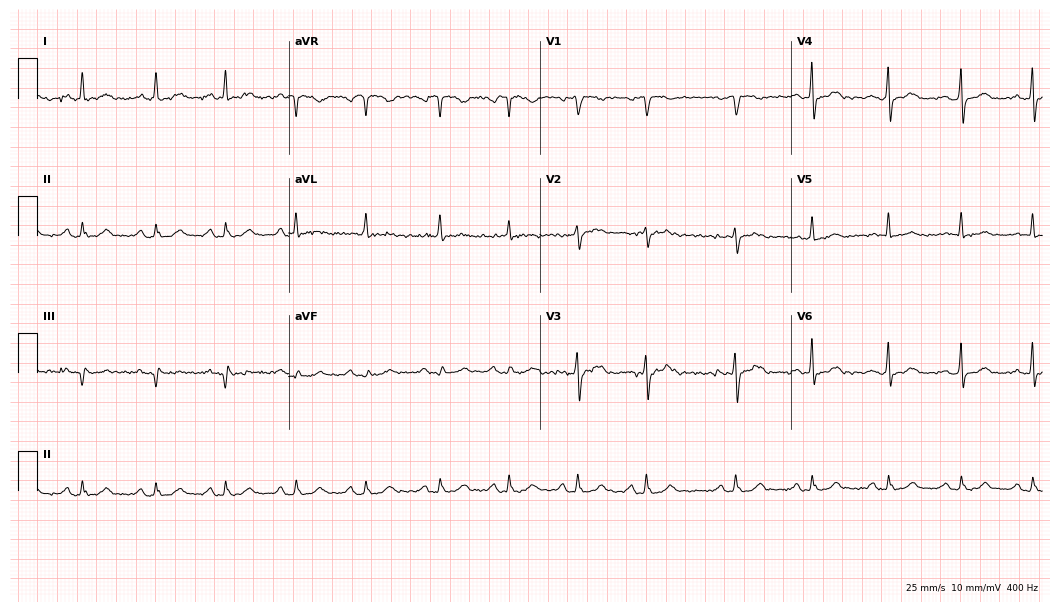
12-lead ECG from a female, 50 years old. Labelled as a normal ECG.